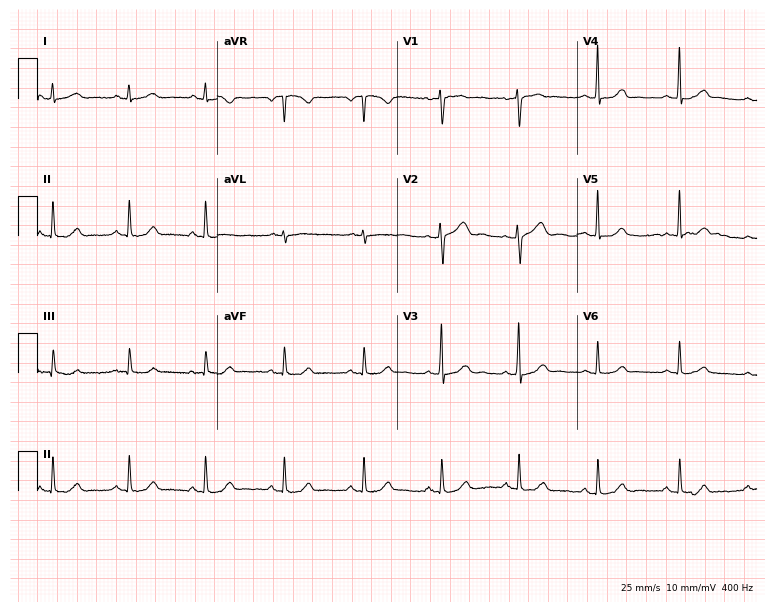
Resting 12-lead electrocardiogram. Patient: a female, 45 years old. None of these six findings is recorded: first-degree AV block, right bundle branch block, left bundle branch block, sinus bradycardia, atrial fibrillation, sinus tachycardia. Only these six findings were labelled.